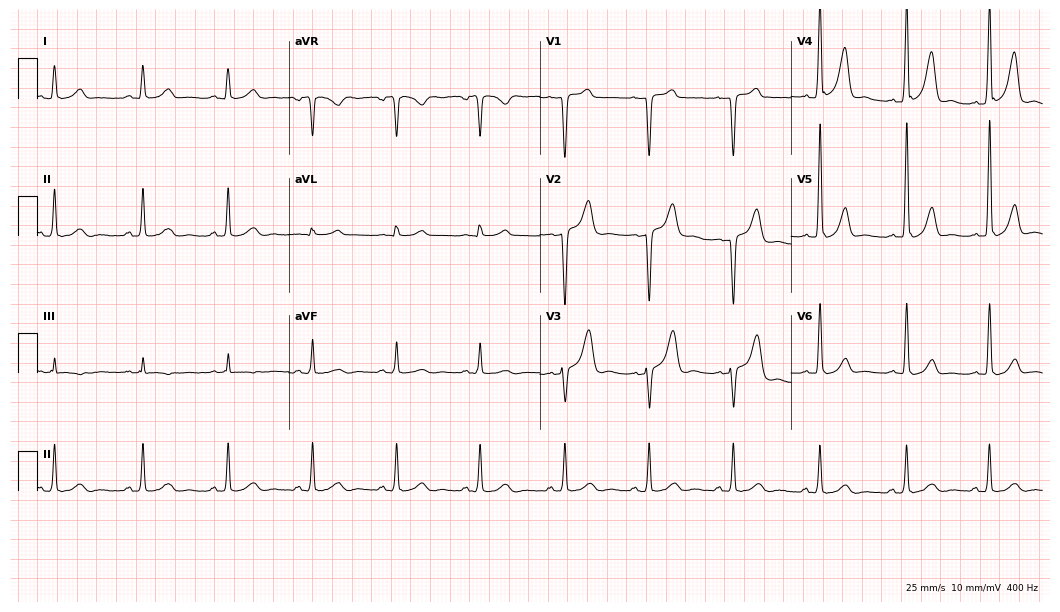
12-lead ECG (10.2-second recording at 400 Hz) from a 64-year-old male patient. Screened for six findings — first-degree AV block, right bundle branch block, left bundle branch block, sinus bradycardia, atrial fibrillation, sinus tachycardia — none is recorded. Other findings, if any, are not listed.